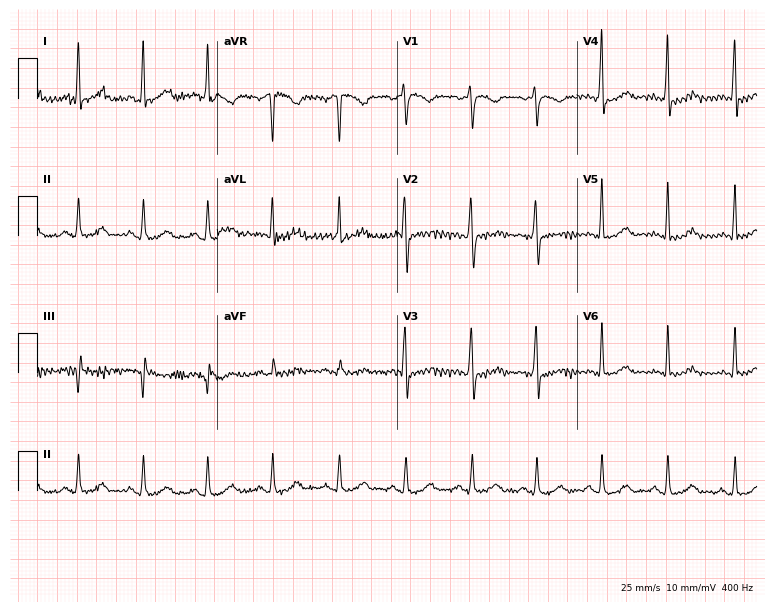
Standard 12-lead ECG recorded from a 56-year-old female. Read as a normal ECG.